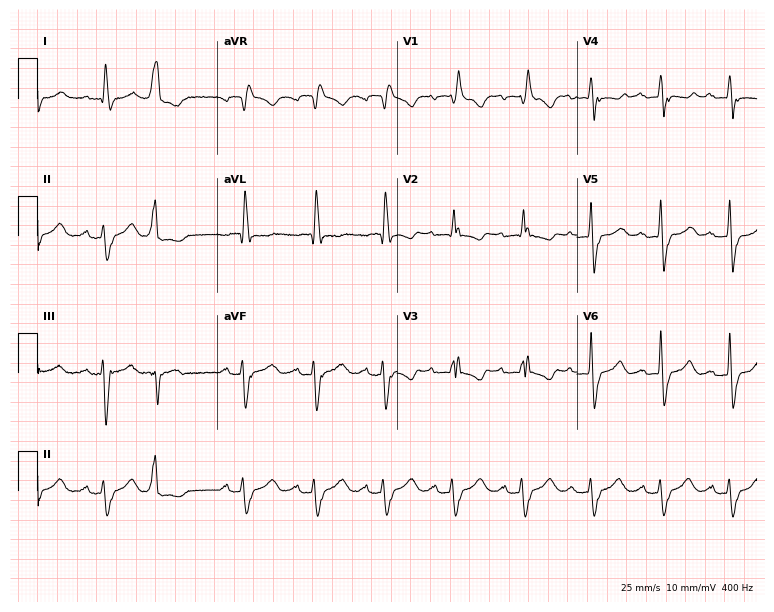
12-lead ECG from a female, 77 years old. Shows right bundle branch block (RBBB).